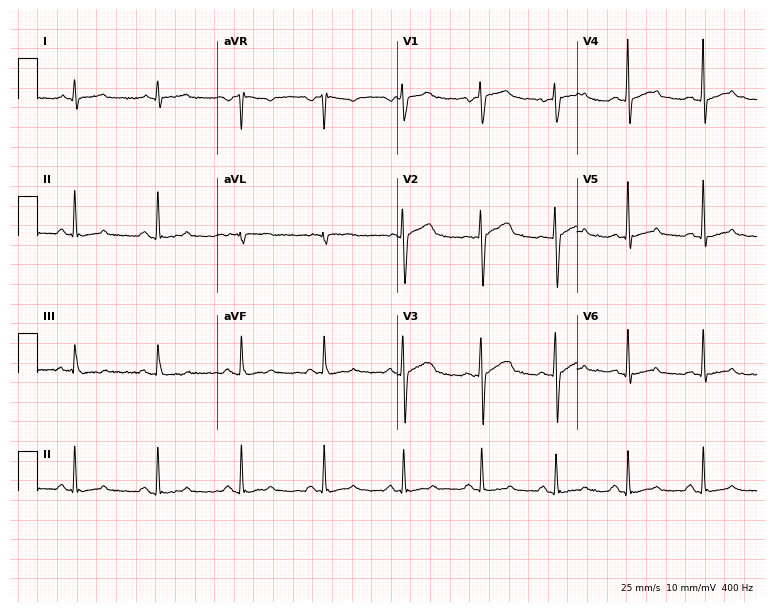
Electrocardiogram, a man, 39 years old. Overall reading on record: normal ECG.